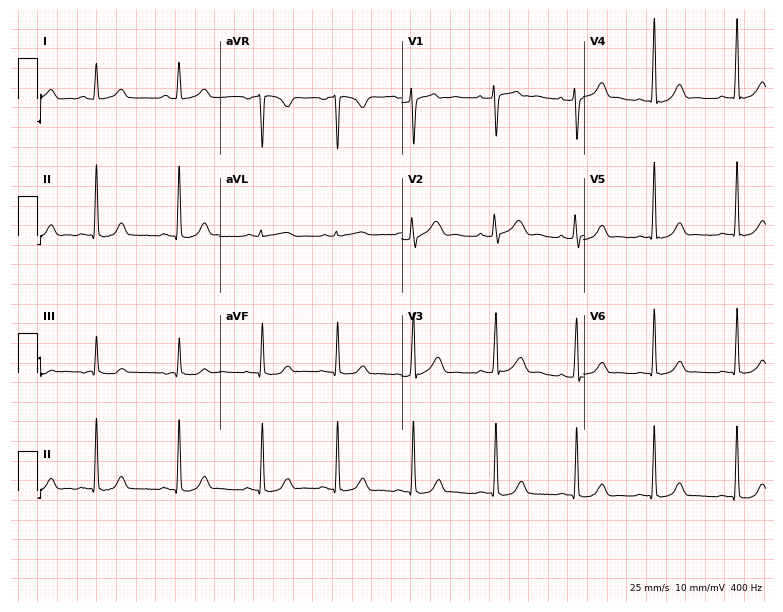
ECG — a female, 22 years old. Screened for six findings — first-degree AV block, right bundle branch block (RBBB), left bundle branch block (LBBB), sinus bradycardia, atrial fibrillation (AF), sinus tachycardia — none is recorded. Only these six findings were labelled.